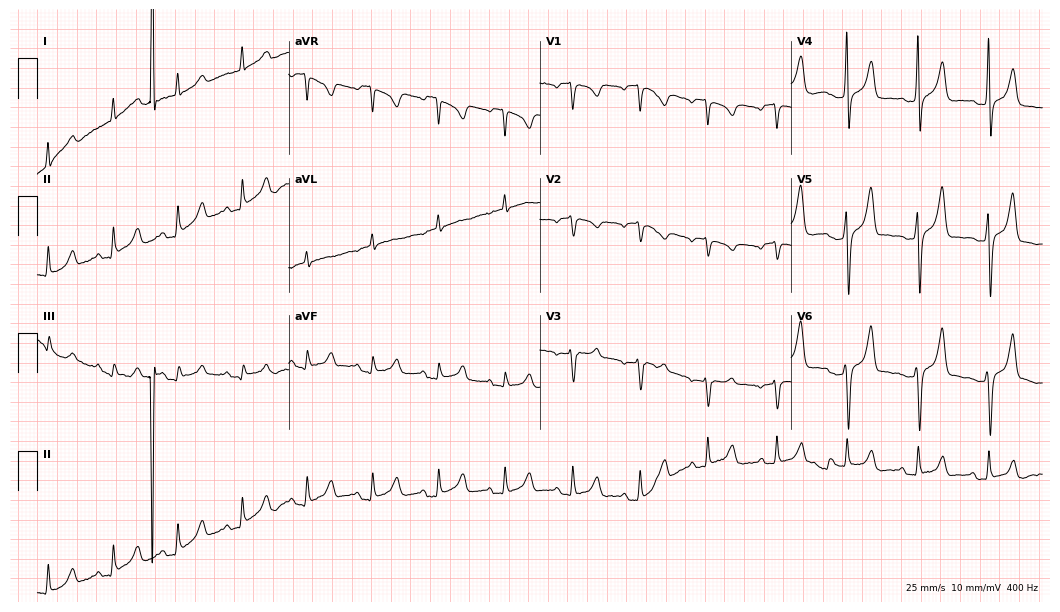
12-lead ECG from a male, 25 years old (10.2-second recording at 400 Hz). No first-degree AV block, right bundle branch block, left bundle branch block, sinus bradycardia, atrial fibrillation or sinus tachycardia recorded for this tracing.